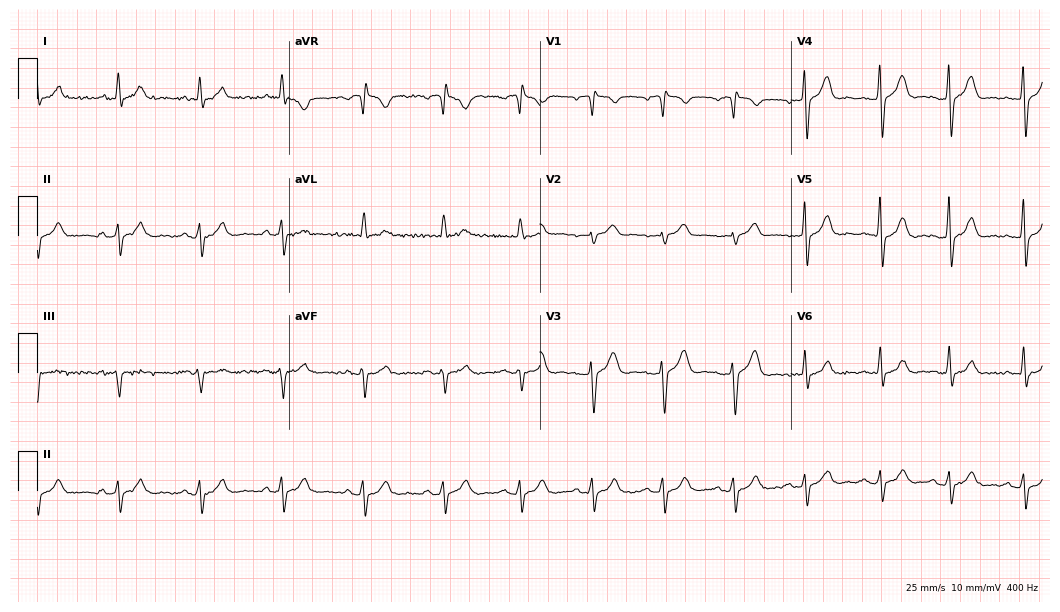
ECG (10.2-second recording at 400 Hz) — a 55-year-old male. Screened for six findings — first-degree AV block, right bundle branch block, left bundle branch block, sinus bradycardia, atrial fibrillation, sinus tachycardia — none is recorded. Findings outside these six are not listed.